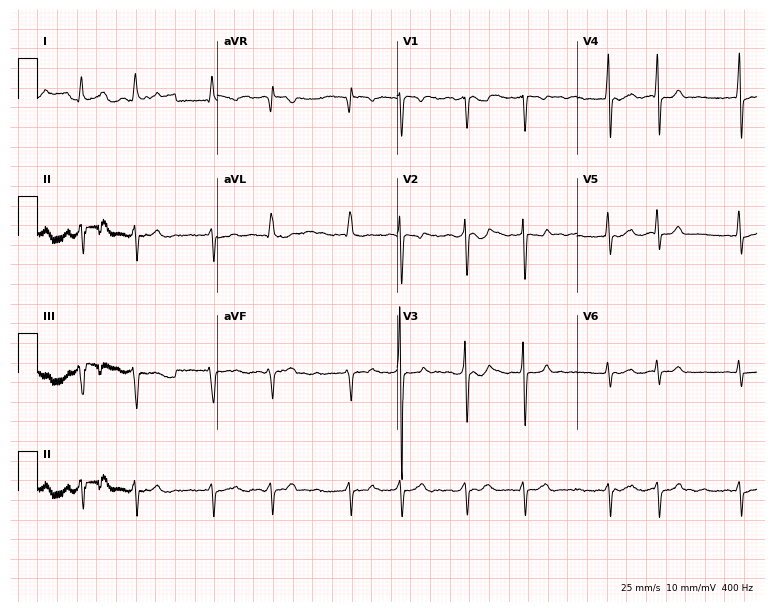
Electrocardiogram, a woman, 74 years old. Interpretation includes atrial fibrillation (AF).